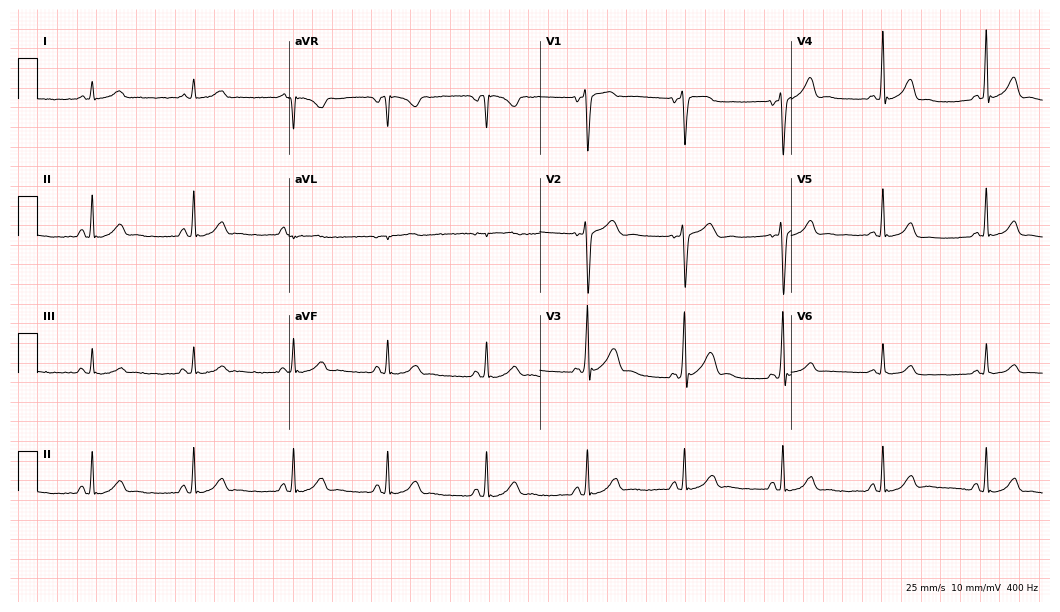
Standard 12-lead ECG recorded from a man, 36 years old. Read as a normal ECG.